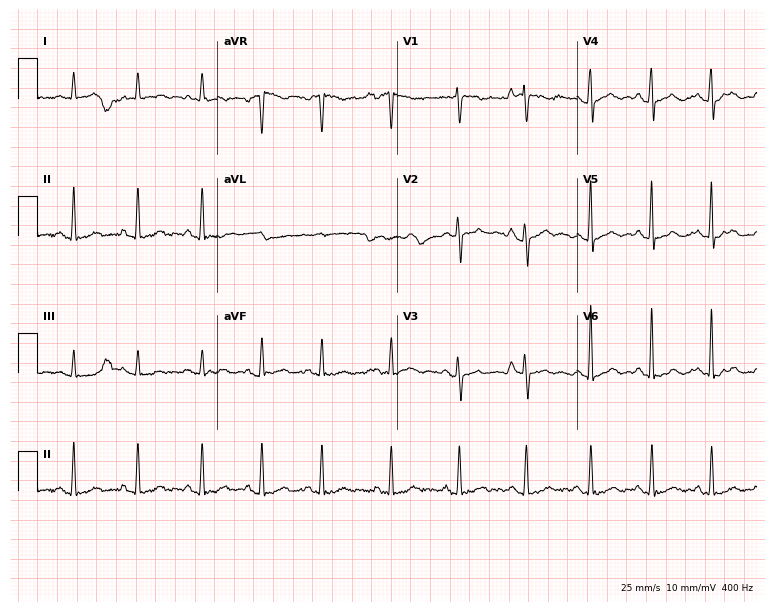
ECG (7.3-second recording at 400 Hz) — a 44-year-old female patient. Screened for six findings — first-degree AV block, right bundle branch block (RBBB), left bundle branch block (LBBB), sinus bradycardia, atrial fibrillation (AF), sinus tachycardia — none is recorded. Findings outside these six are not listed.